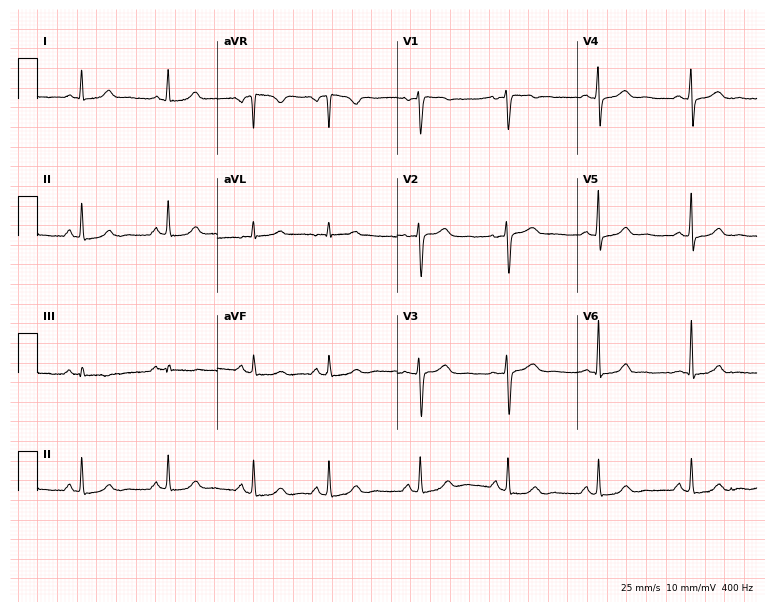
Electrocardiogram (7.3-second recording at 400 Hz), a 36-year-old woman. Overall reading on record: normal ECG.